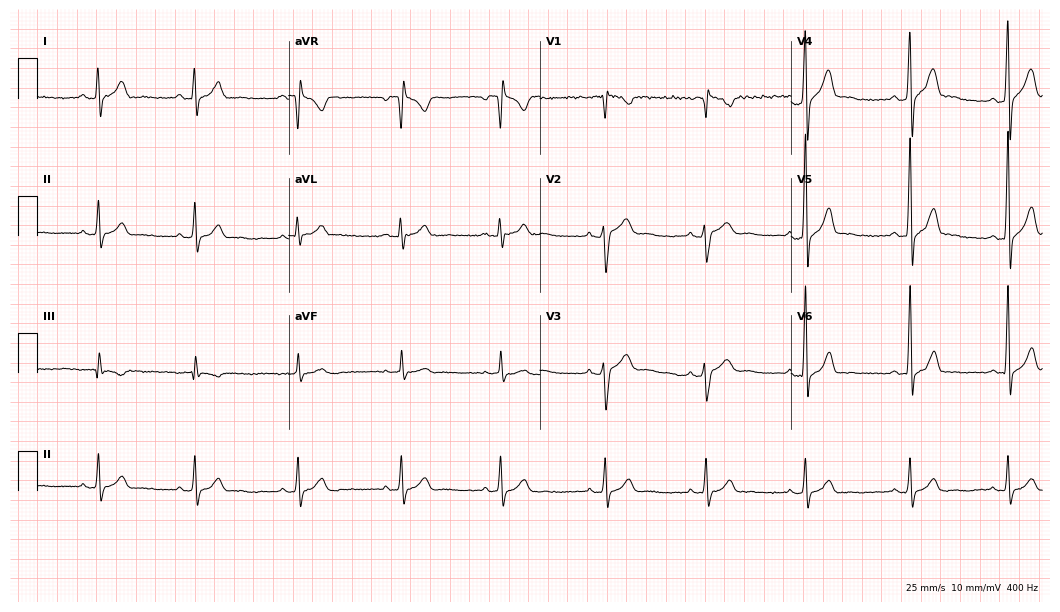
Resting 12-lead electrocardiogram (10.2-second recording at 400 Hz). Patient: a male, 26 years old. None of these six findings is recorded: first-degree AV block, right bundle branch block, left bundle branch block, sinus bradycardia, atrial fibrillation, sinus tachycardia. Findings outside these six are not listed.